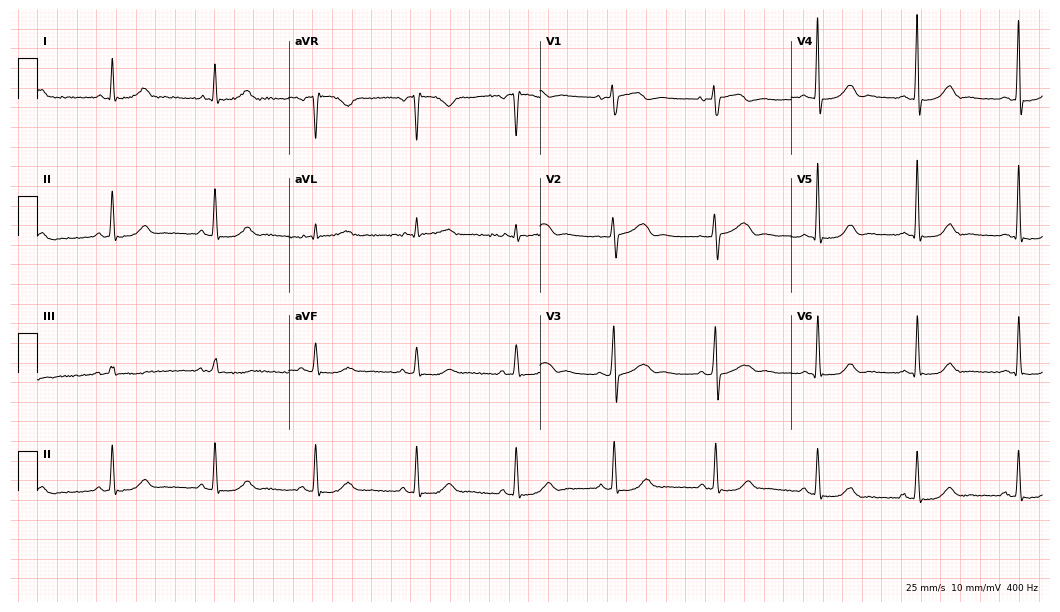
12-lead ECG from a 54-year-old female patient. Screened for six findings — first-degree AV block, right bundle branch block (RBBB), left bundle branch block (LBBB), sinus bradycardia, atrial fibrillation (AF), sinus tachycardia — none is recorded.